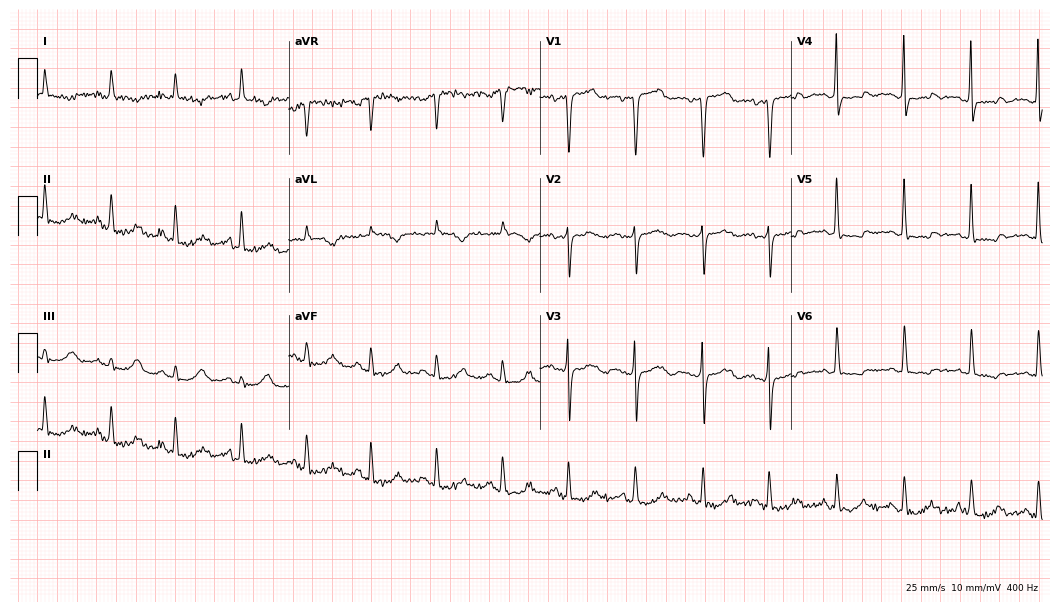
ECG (10.2-second recording at 400 Hz) — a female patient, 55 years old. Screened for six findings — first-degree AV block, right bundle branch block, left bundle branch block, sinus bradycardia, atrial fibrillation, sinus tachycardia — none is recorded. Only these six findings were labelled.